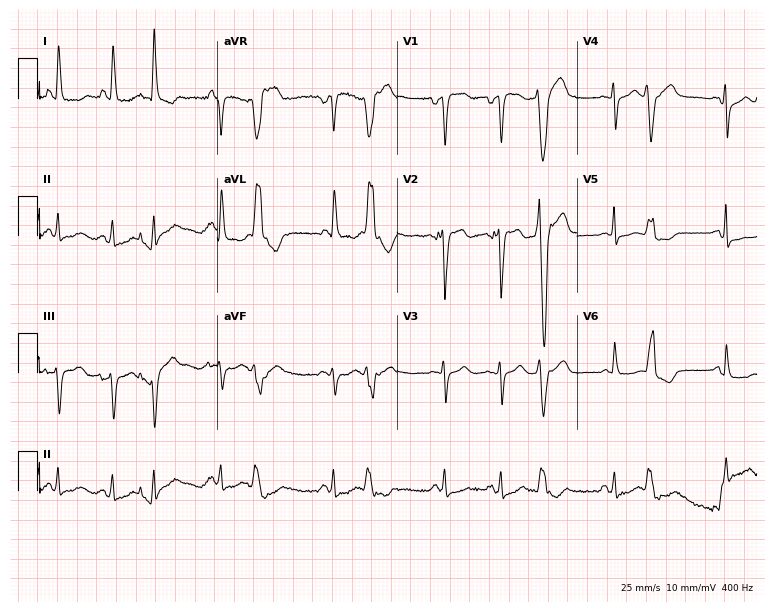
Resting 12-lead electrocardiogram. Patient: an 84-year-old female. None of these six findings is recorded: first-degree AV block, right bundle branch block, left bundle branch block, sinus bradycardia, atrial fibrillation, sinus tachycardia. Only these six findings were labelled.